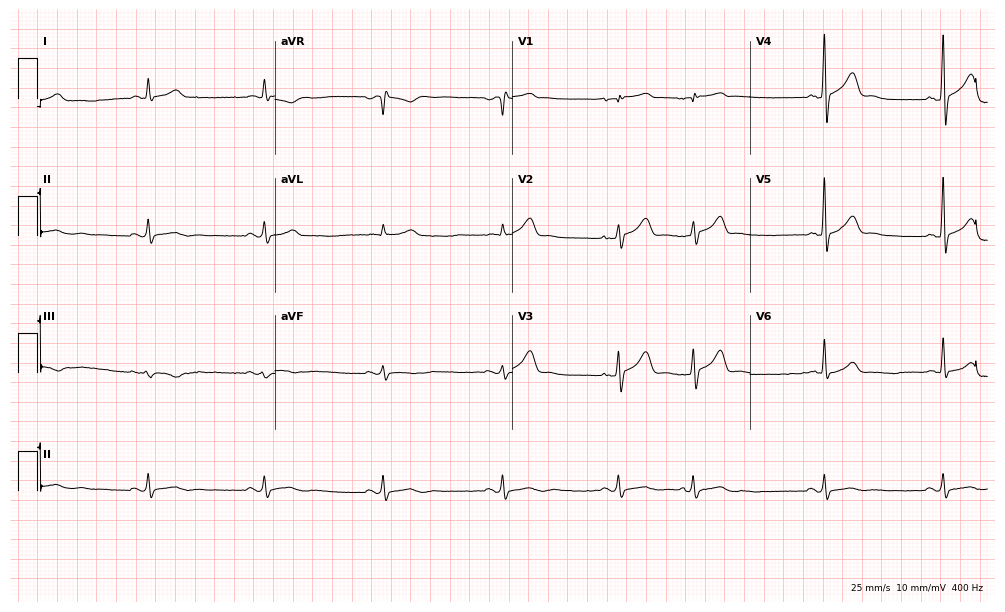
12-lead ECG (9.7-second recording at 400 Hz) from a 74-year-old male. Screened for six findings — first-degree AV block, right bundle branch block, left bundle branch block, sinus bradycardia, atrial fibrillation, sinus tachycardia — none is recorded.